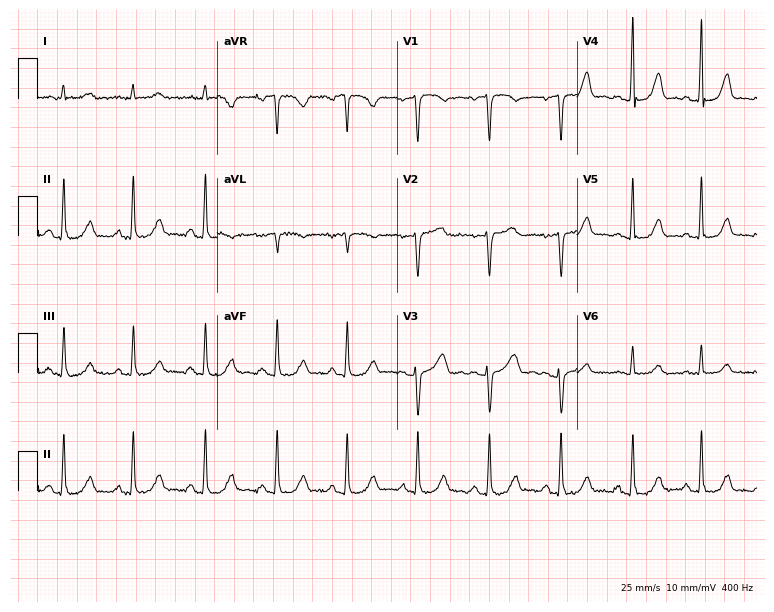
Electrocardiogram, a woman, 49 years old. Overall reading on record: normal ECG.